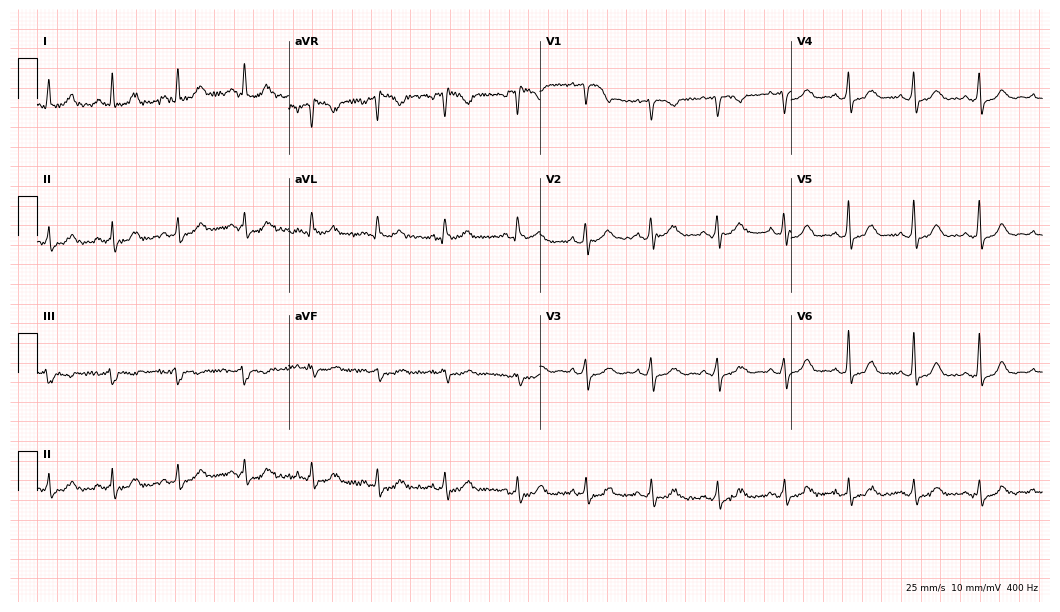
Electrocardiogram (10.2-second recording at 400 Hz), a 34-year-old woman. Overall reading on record: normal ECG.